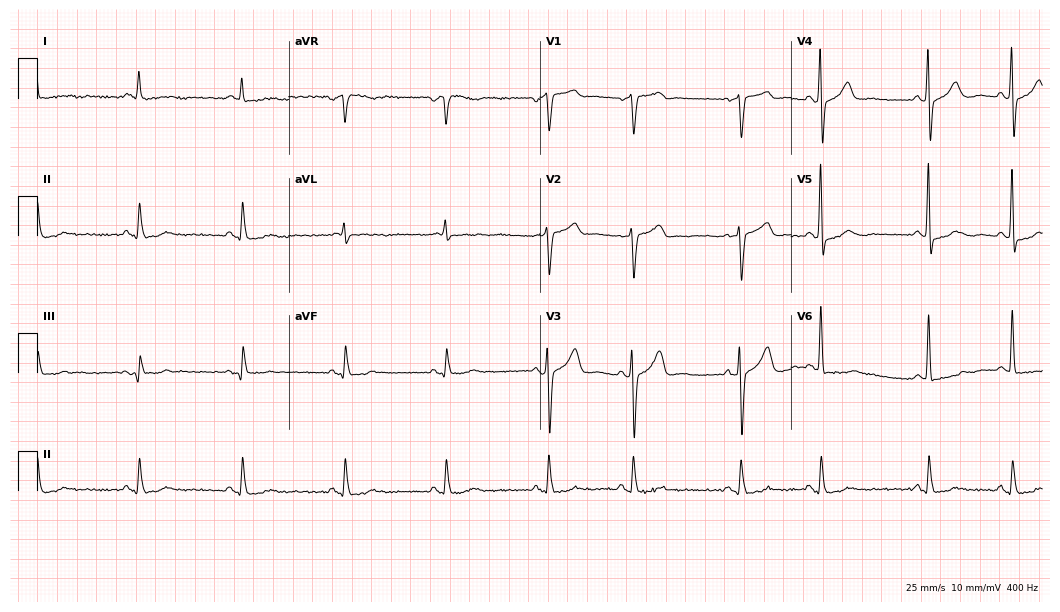
ECG (10.2-second recording at 400 Hz) — a male, 71 years old. Screened for six findings — first-degree AV block, right bundle branch block, left bundle branch block, sinus bradycardia, atrial fibrillation, sinus tachycardia — none is recorded. Other findings, if any, are not listed.